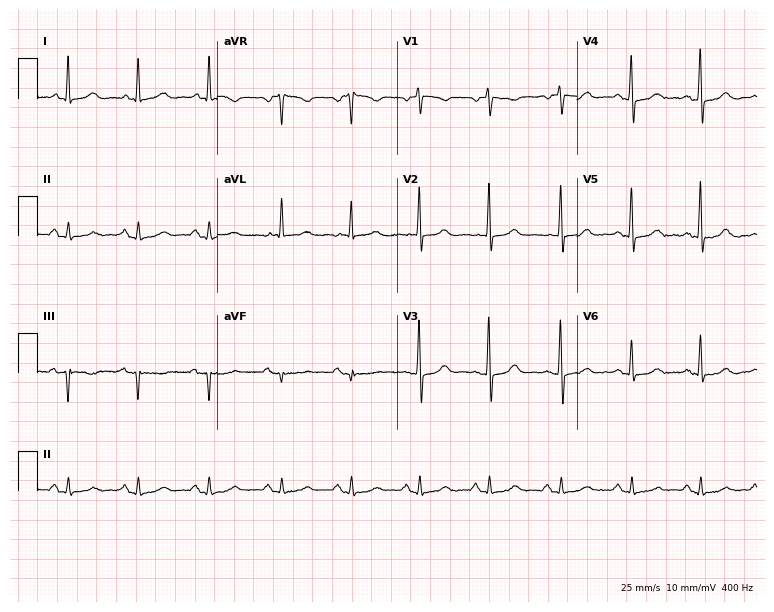
Resting 12-lead electrocardiogram (7.3-second recording at 400 Hz). Patient: a 75-year-old woman. Read as a normal ECG.